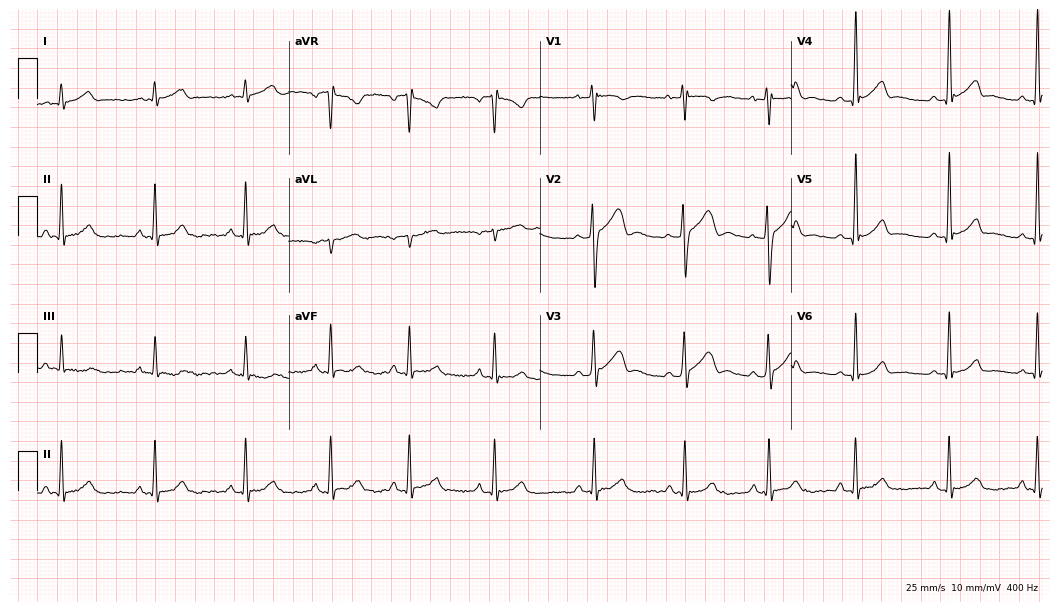
12-lead ECG from a 19-year-old male patient (10.2-second recording at 400 Hz). Recorded interpretation: within normal limits.